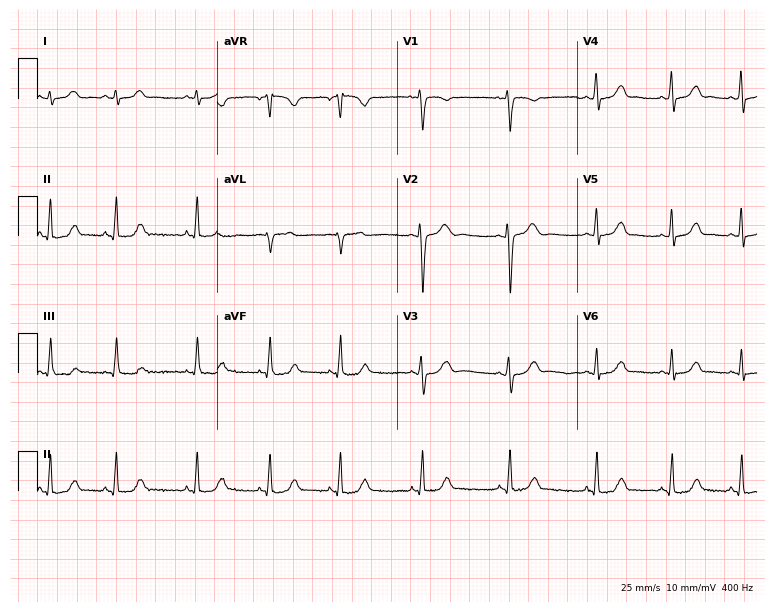
Standard 12-lead ECG recorded from a female, 17 years old (7.3-second recording at 400 Hz). Read as a normal ECG.